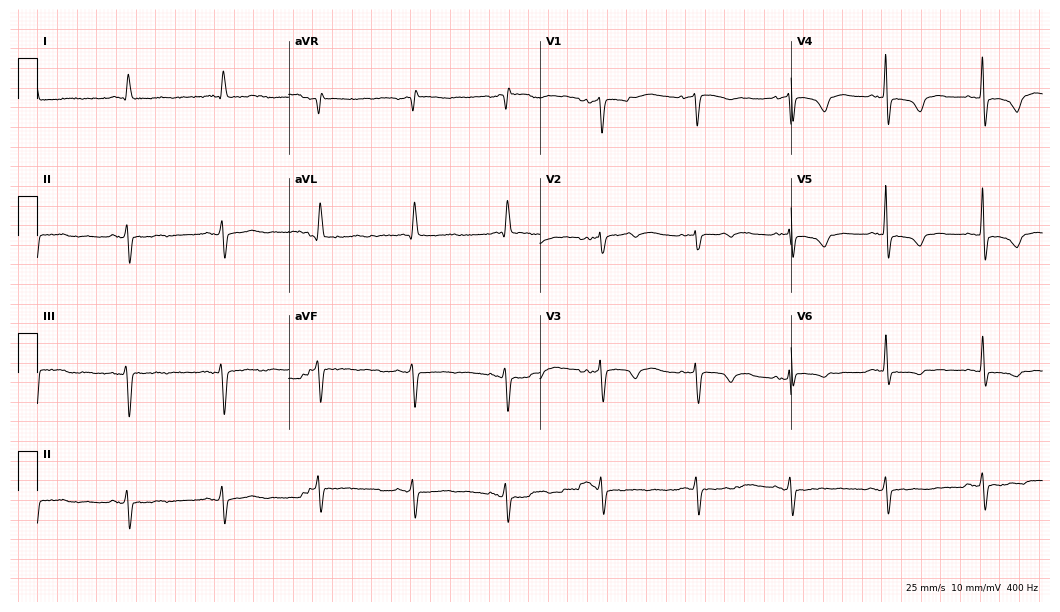
ECG (10.2-second recording at 400 Hz) — a 74-year-old female. Screened for six findings — first-degree AV block, right bundle branch block (RBBB), left bundle branch block (LBBB), sinus bradycardia, atrial fibrillation (AF), sinus tachycardia — none is recorded.